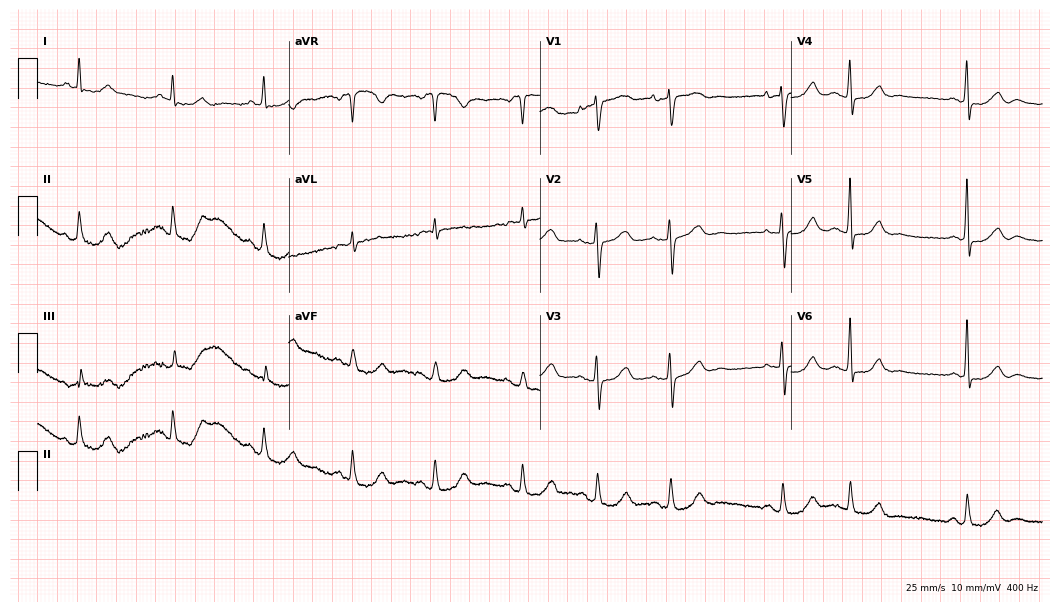
Resting 12-lead electrocardiogram (10.2-second recording at 400 Hz). Patient: a woman, 85 years old. None of these six findings is recorded: first-degree AV block, right bundle branch block, left bundle branch block, sinus bradycardia, atrial fibrillation, sinus tachycardia. Findings outside these six are not listed.